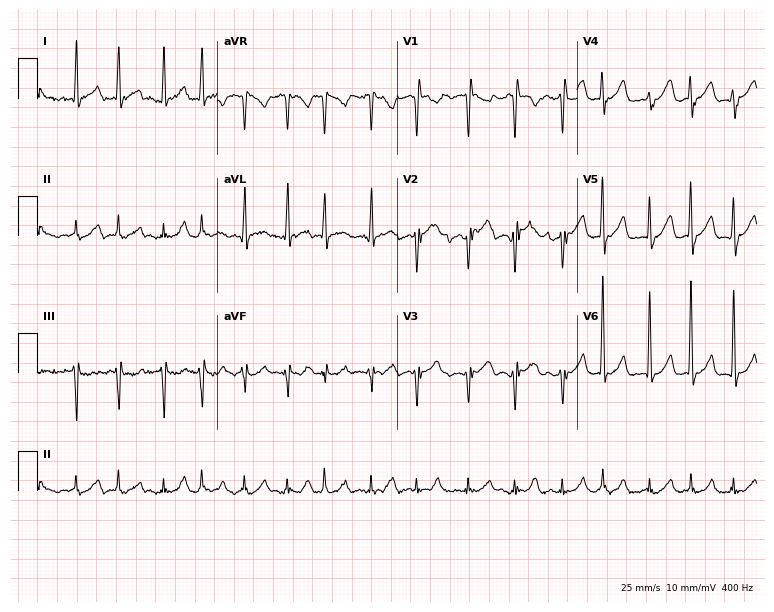
Resting 12-lead electrocardiogram (7.3-second recording at 400 Hz). Patient: a 77-year-old male. The tracing shows atrial fibrillation.